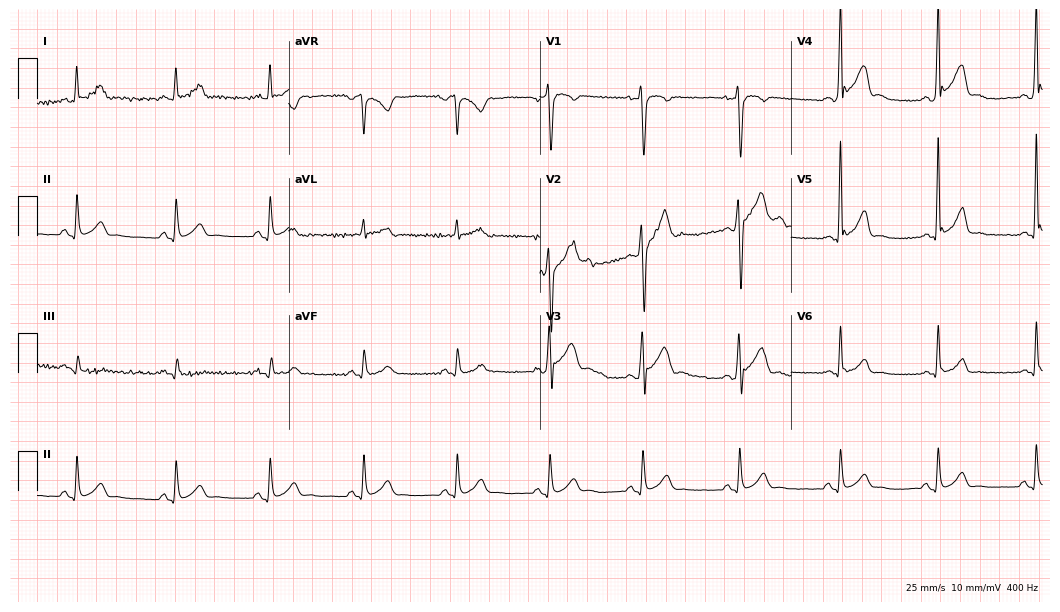
12-lead ECG from a male patient, 20 years old. Recorded interpretation: within normal limits.